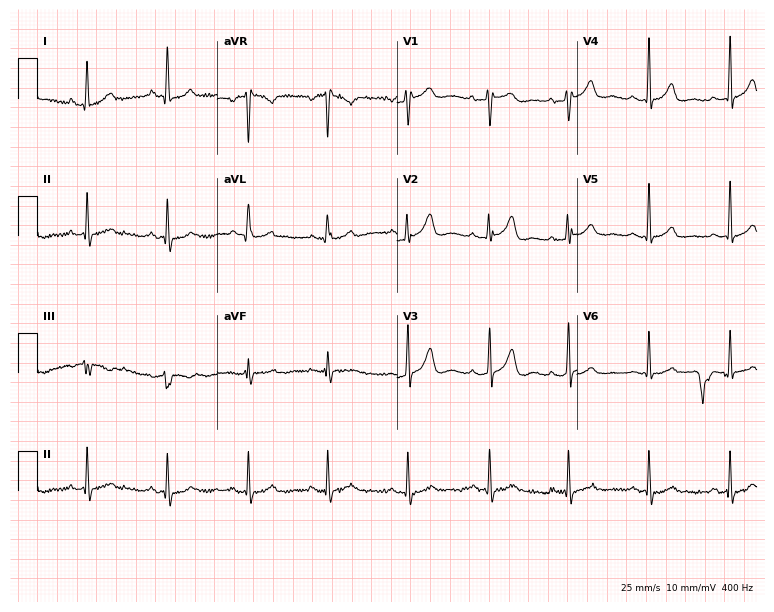
Standard 12-lead ECG recorded from a 42-year-old female. None of these six findings is recorded: first-degree AV block, right bundle branch block, left bundle branch block, sinus bradycardia, atrial fibrillation, sinus tachycardia.